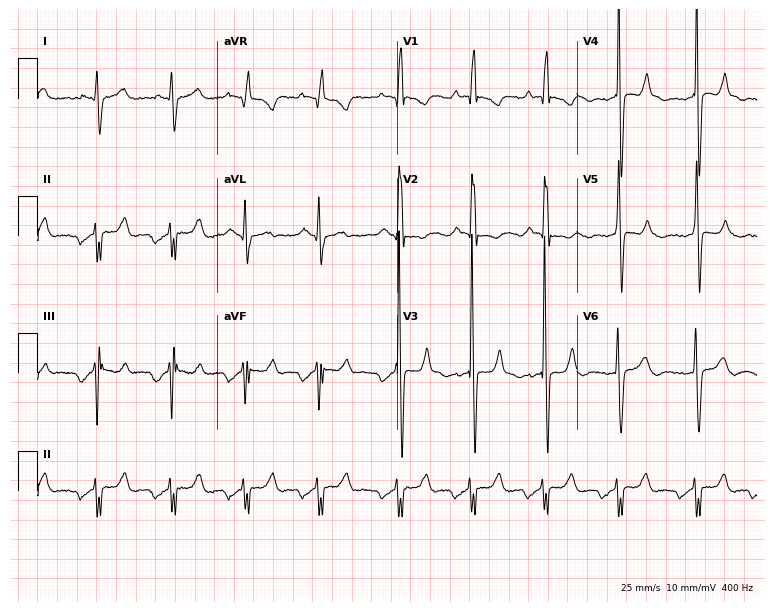
Resting 12-lead electrocardiogram (7.3-second recording at 400 Hz). Patient: a 33-year-old female. None of these six findings is recorded: first-degree AV block, right bundle branch block (RBBB), left bundle branch block (LBBB), sinus bradycardia, atrial fibrillation (AF), sinus tachycardia.